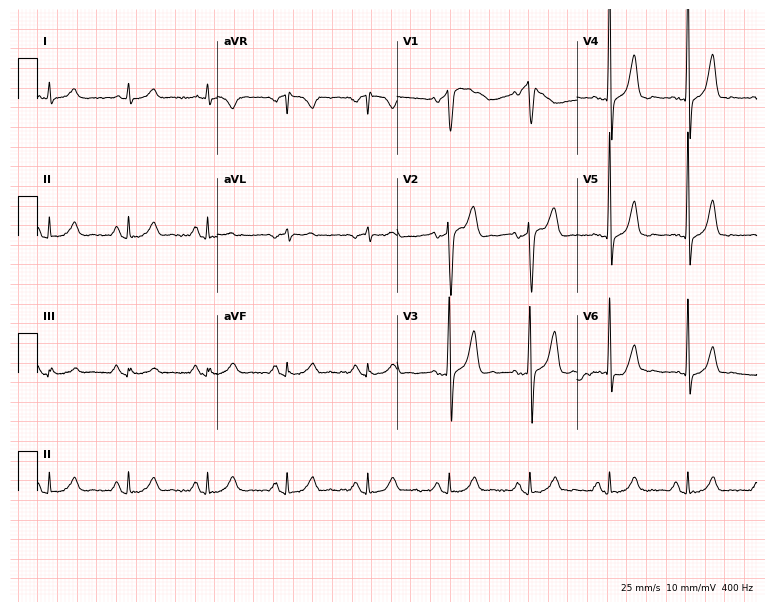
ECG — a male patient, 61 years old. Labelled as a normal ECG.